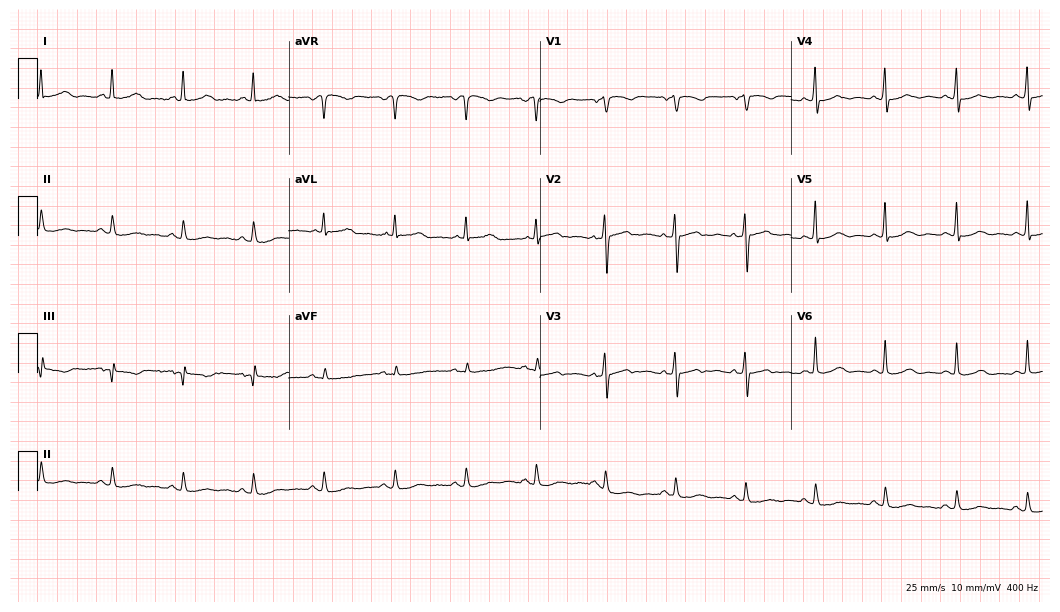
Standard 12-lead ECG recorded from an 81-year-old woman (10.2-second recording at 400 Hz). None of these six findings is recorded: first-degree AV block, right bundle branch block (RBBB), left bundle branch block (LBBB), sinus bradycardia, atrial fibrillation (AF), sinus tachycardia. Other findings, if any, are not listed.